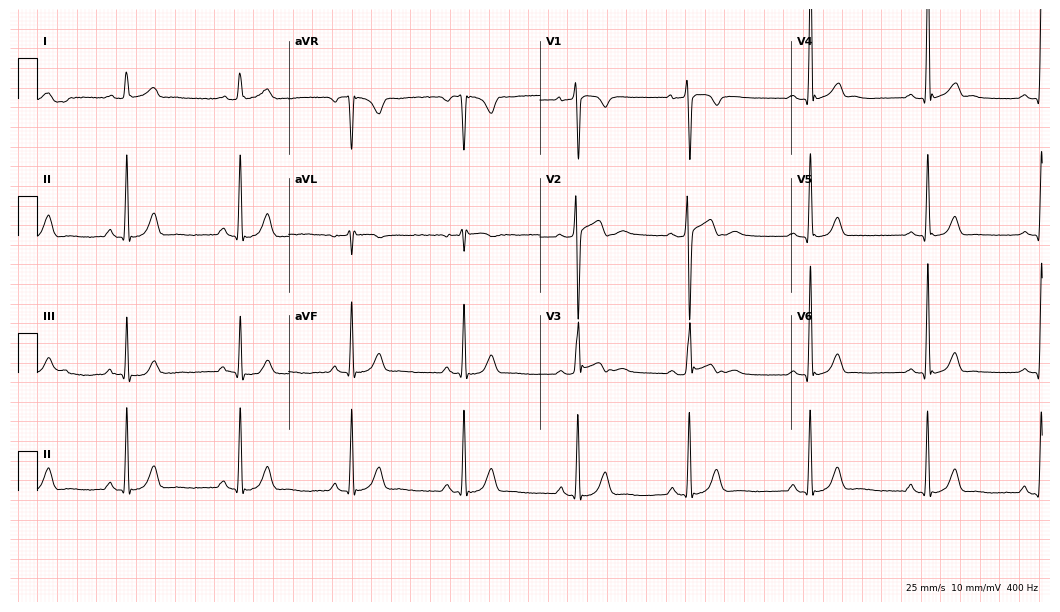
12-lead ECG from a male, 27 years old. Screened for six findings — first-degree AV block, right bundle branch block, left bundle branch block, sinus bradycardia, atrial fibrillation, sinus tachycardia — none is recorded.